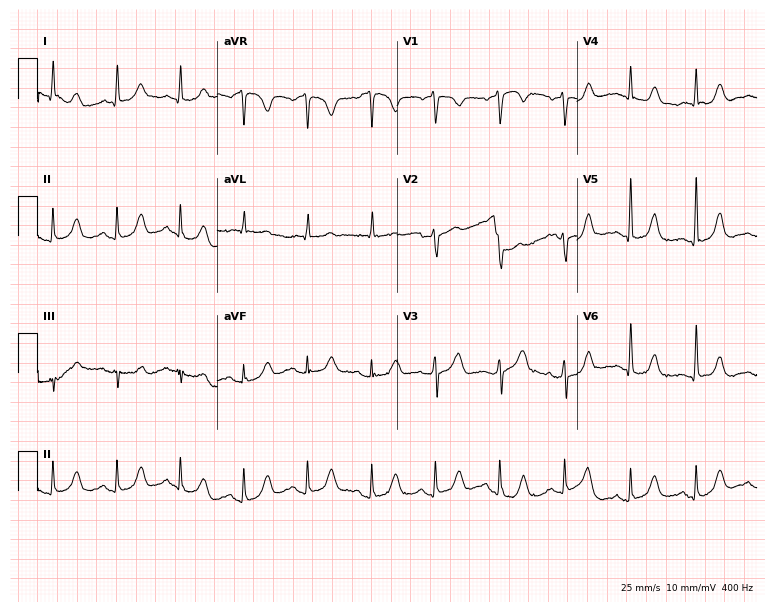
12-lead ECG from a woman, 62 years old. Recorded interpretation: within normal limits.